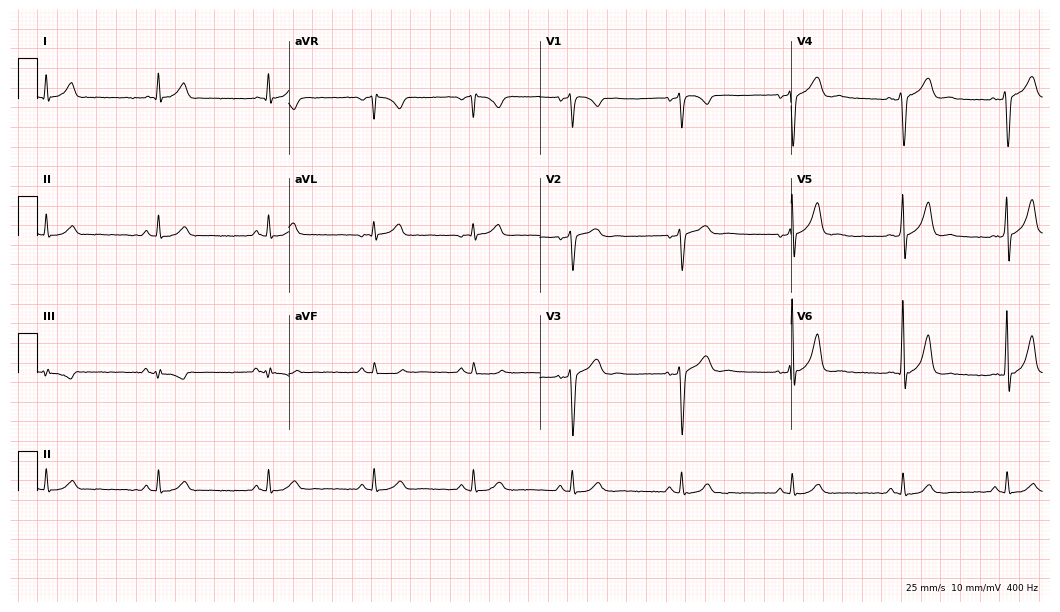
Resting 12-lead electrocardiogram (10.2-second recording at 400 Hz). Patient: a man, 40 years old. None of these six findings is recorded: first-degree AV block, right bundle branch block, left bundle branch block, sinus bradycardia, atrial fibrillation, sinus tachycardia.